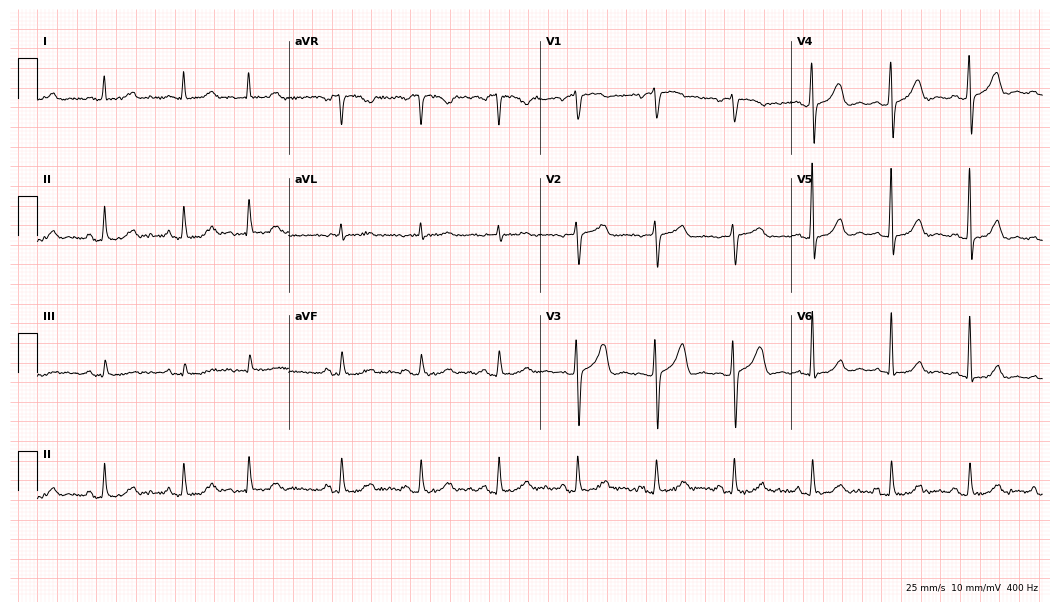
12-lead ECG from a woman, 84 years old. Screened for six findings — first-degree AV block, right bundle branch block, left bundle branch block, sinus bradycardia, atrial fibrillation, sinus tachycardia — none is recorded.